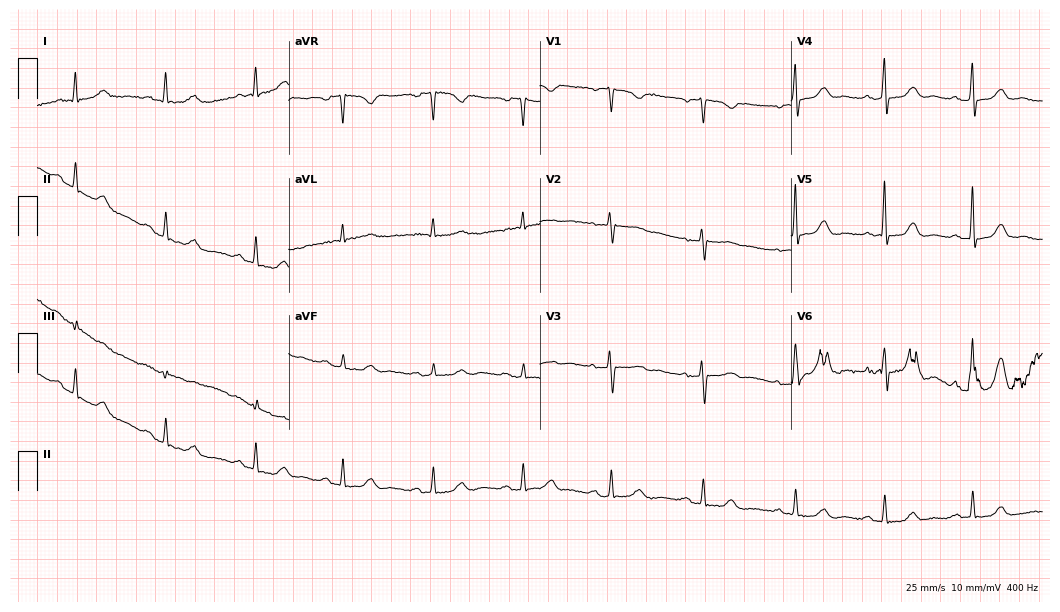
Resting 12-lead electrocardiogram (10.2-second recording at 400 Hz). Patient: a 68-year-old female. None of these six findings is recorded: first-degree AV block, right bundle branch block (RBBB), left bundle branch block (LBBB), sinus bradycardia, atrial fibrillation (AF), sinus tachycardia. Other findings, if any, are not listed.